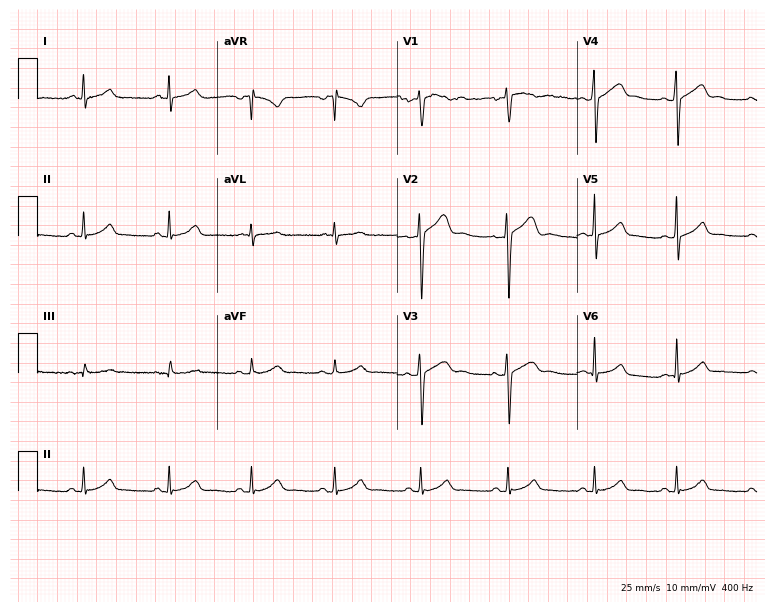
Electrocardiogram (7.3-second recording at 400 Hz), a male patient, 26 years old. Overall reading on record: normal ECG.